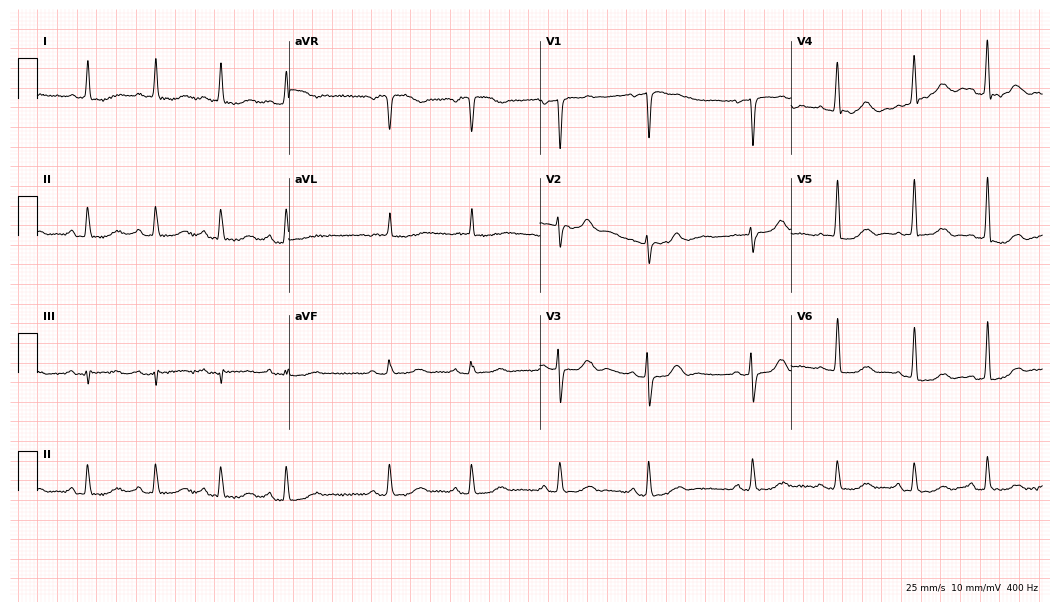
12-lead ECG from a 74-year-old woman (10.2-second recording at 400 Hz). No first-degree AV block, right bundle branch block (RBBB), left bundle branch block (LBBB), sinus bradycardia, atrial fibrillation (AF) or sinus tachycardia recorded for this tracing. Findings outside these six are not listed.